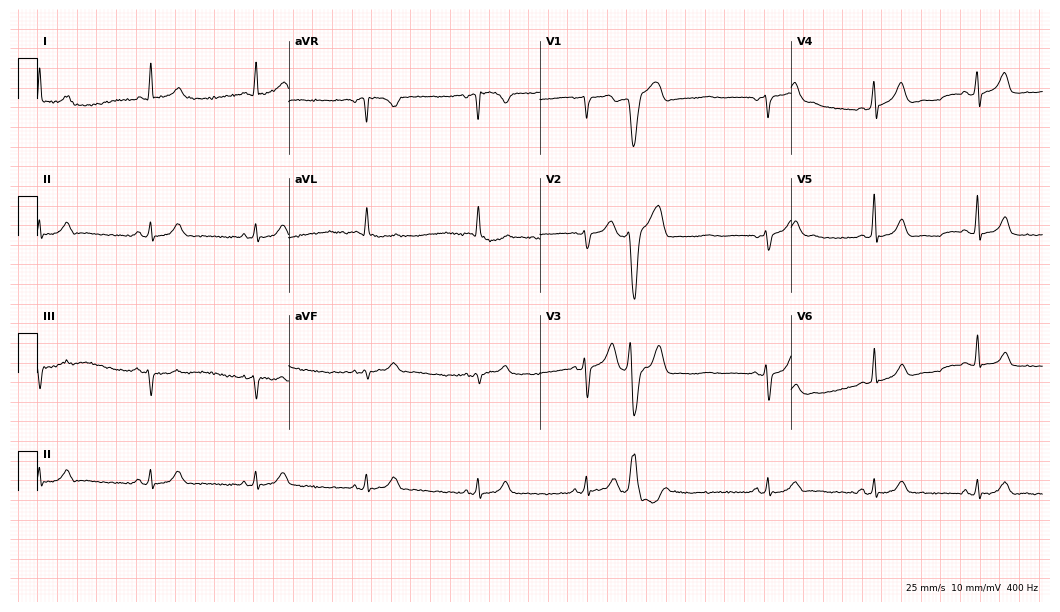
ECG — a 64-year-old male patient. Screened for six findings — first-degree AV block, right bundle branch block (RBBB), left bundle branch block (LBBB), sinus bradycardia, atrial fibrillation (AF), sinus tachycardia — none is recorded.